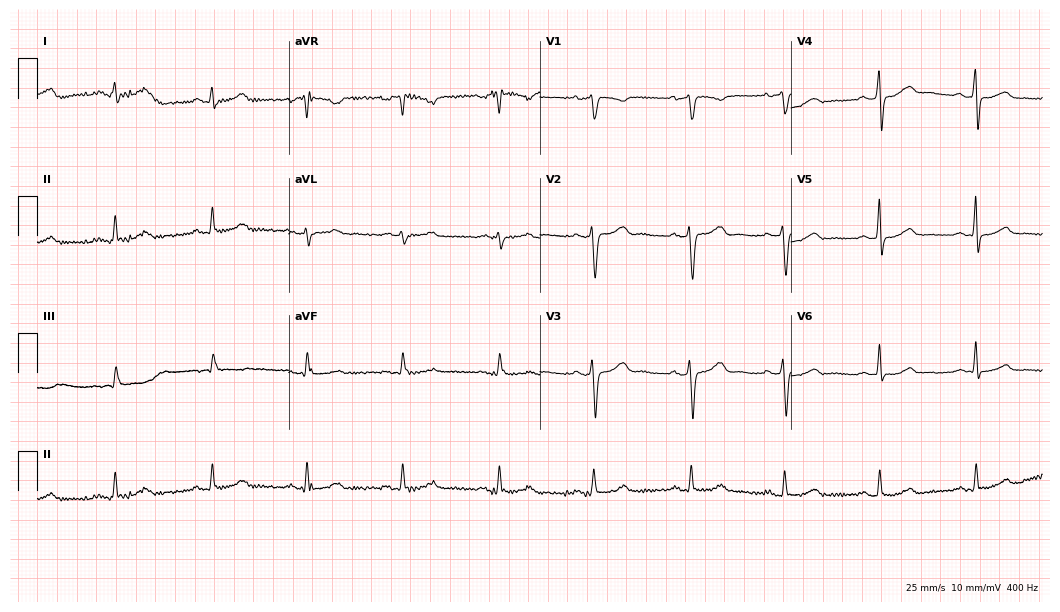
12-lead ECG from a 44-year-old female (10.2-second recording at 400 Hz). Recorded interpretation: within normal limits.